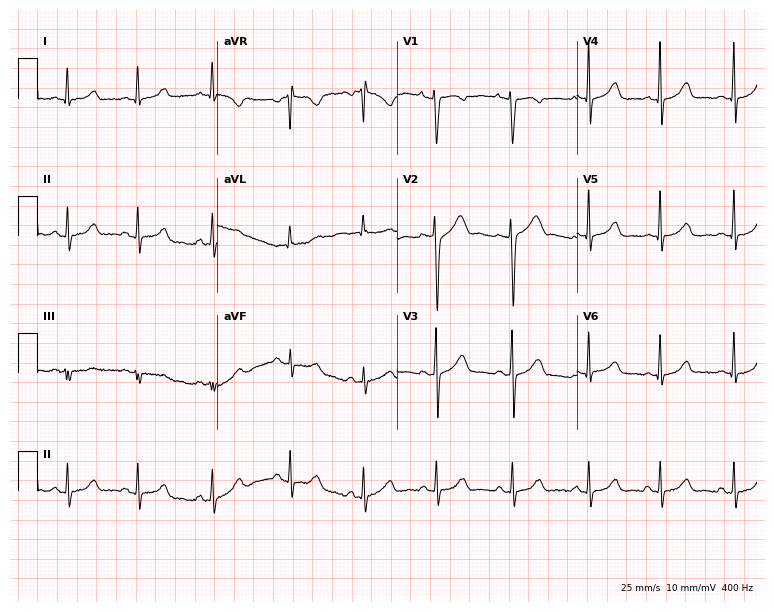
Electrocardiogram, a woman, 19 years old. Overall reading on record: normal ECG.